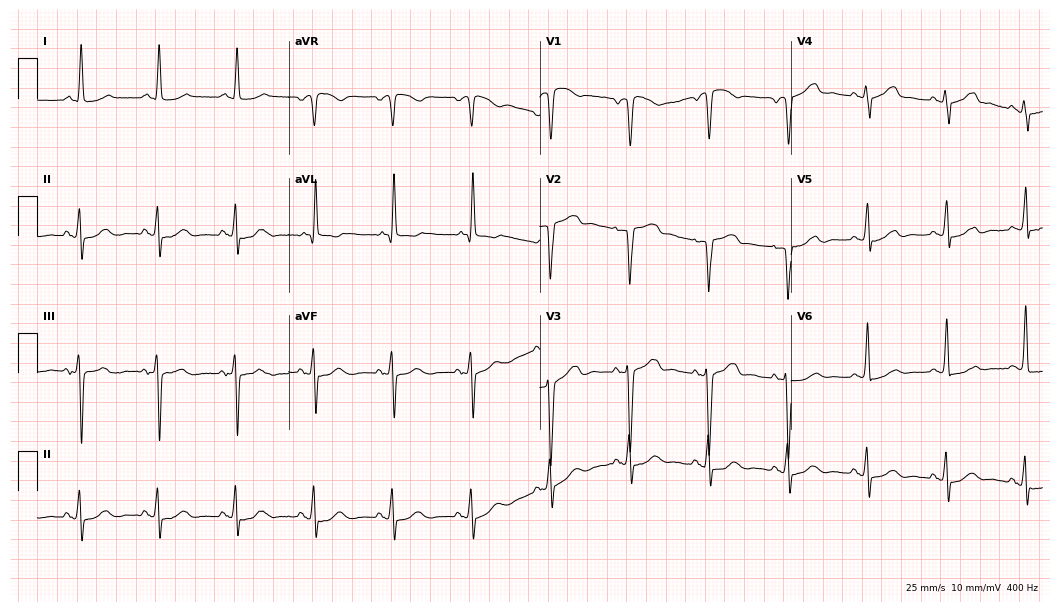
12-lead ECG from a woman, 79 years old (10.2-second recording at 400 Hz). Recorded interpretation: within normal limits.